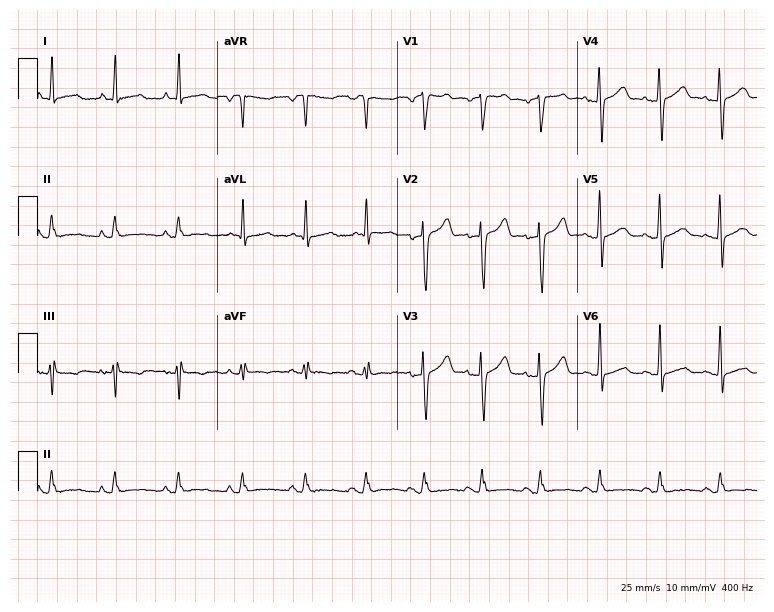
ECG — a man, 52 years old. Labelled as a normal ECG.